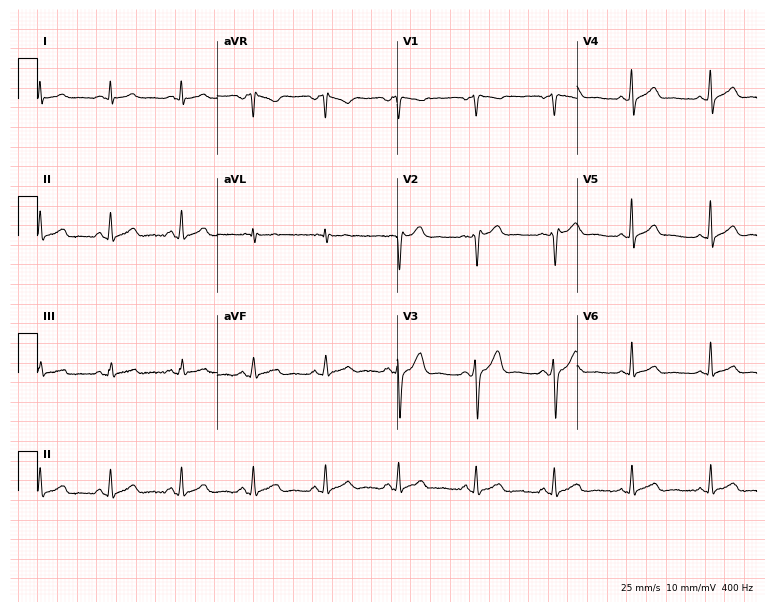
Resting 12-lead electrocardiogram (7.3-second recording at 400 Hz). Patient: a man, 39 years old. Read as a normal ECG.